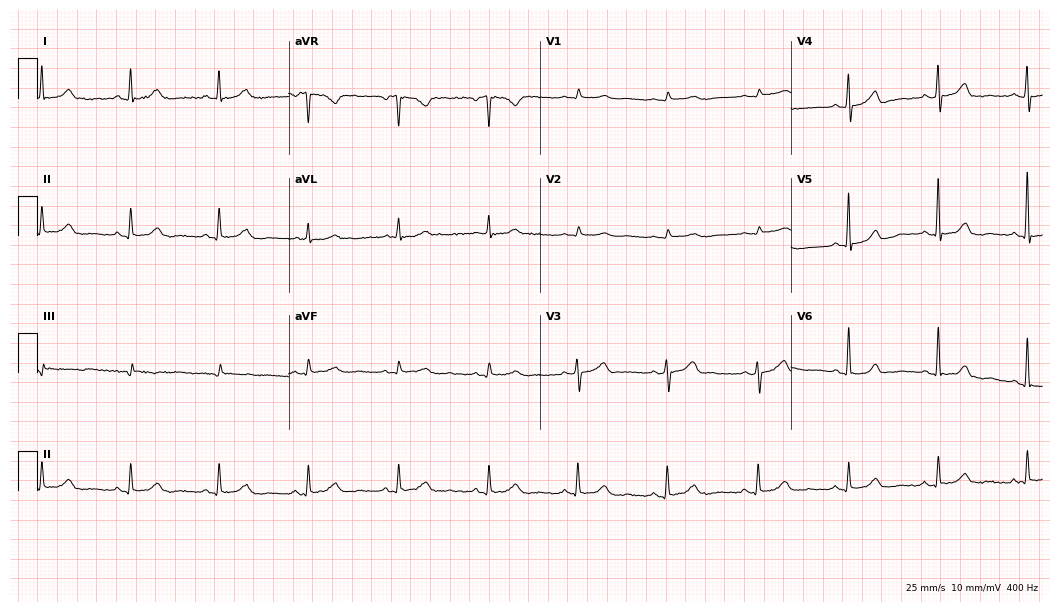
Electrocardiogram (10.2-second recording at 400 Hz), a woman, 64 years old. Overall reading on record: normal ECG.